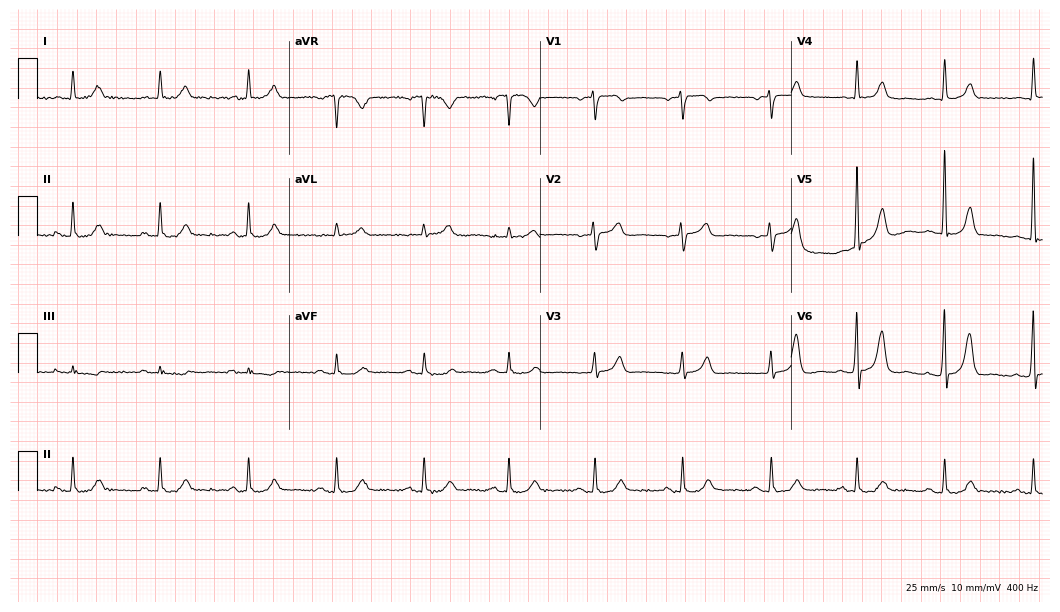
Electrocardiogram, a woman, 78 years old. Overall reading on record: normal ECG.